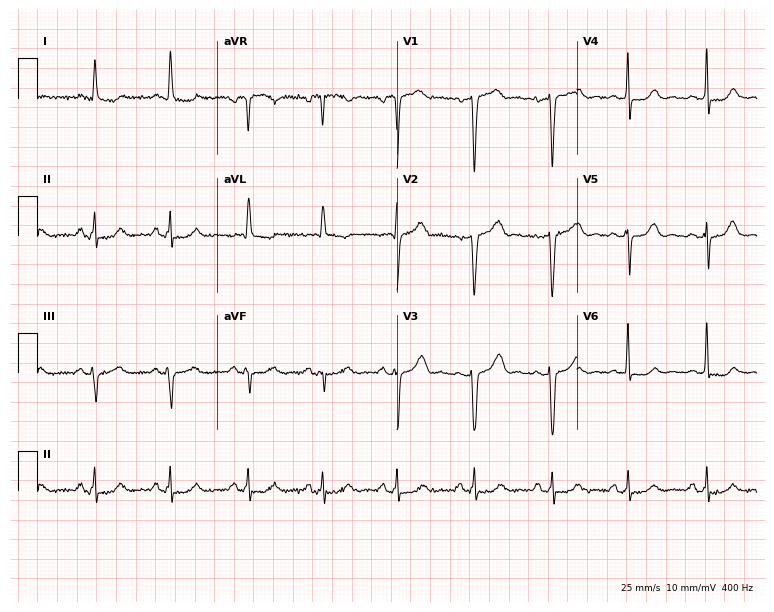
12-lead ECG from a female, 46 years old. Screened for six findings — first-degree AV block, right bundle branch block, left bundle branch block, sinus bradycardia, atrial fibrillation, sinus tachycardia — none is recorded. Findings outside these six are not listed.